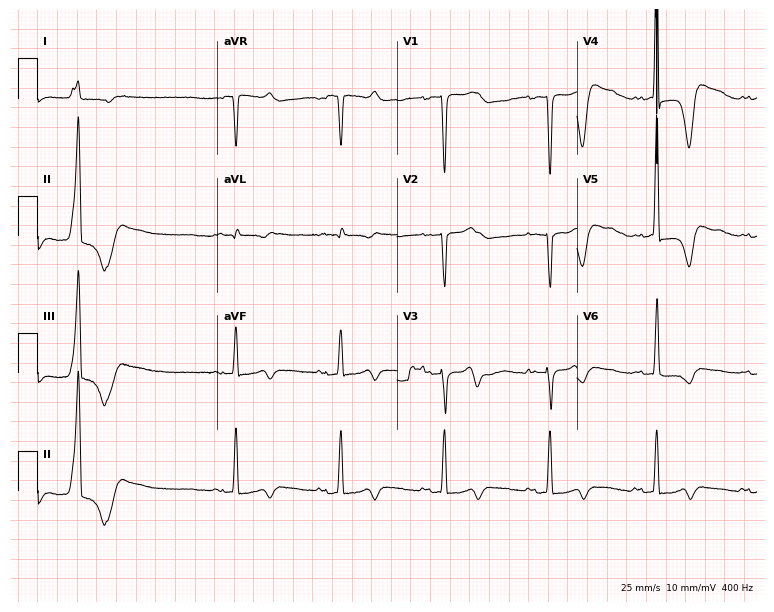
Standard 12-lead ECG recorded from a male patient, 85 years old. The tracing shows first-degree AV block.